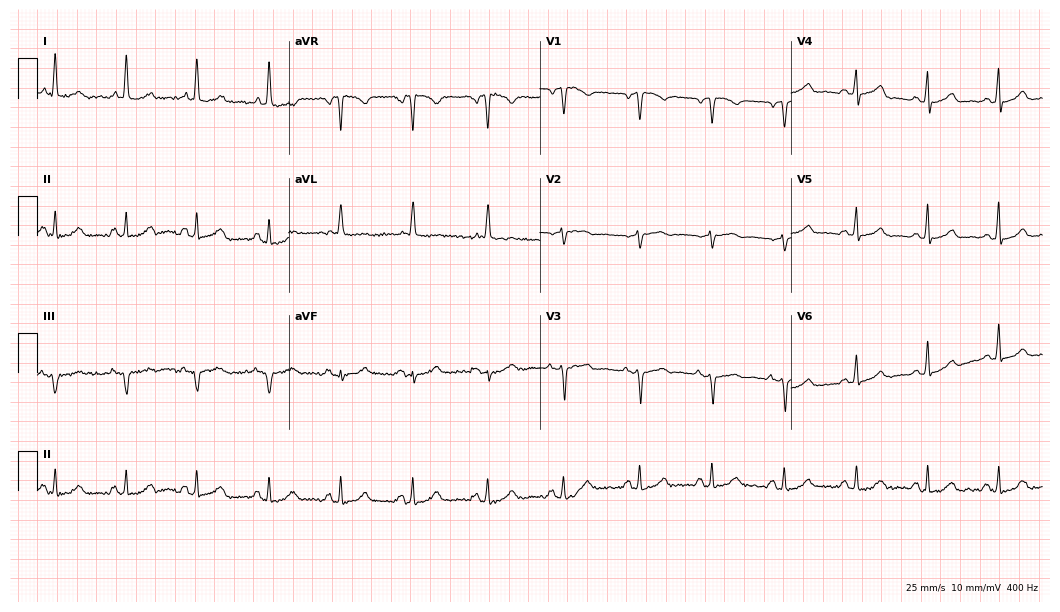
Standard 12-lead ECG recorded from a 69-year-old female (10.2-second recording at 400 Hz). None of these six findings is recorded: first-degree AV block, right bundle branch block, left bundle branch block, sinus bradycardia, atrial fibrillation, sinus tachycardia.